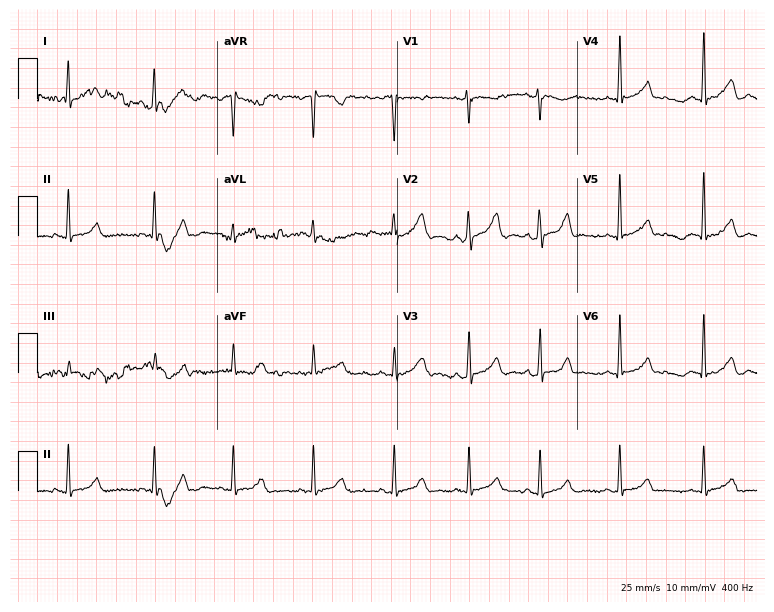
12-lead ECG from a 42-year-old female (7.3-second recording at 400 Hz). Recorded interpretation: within normal limits.